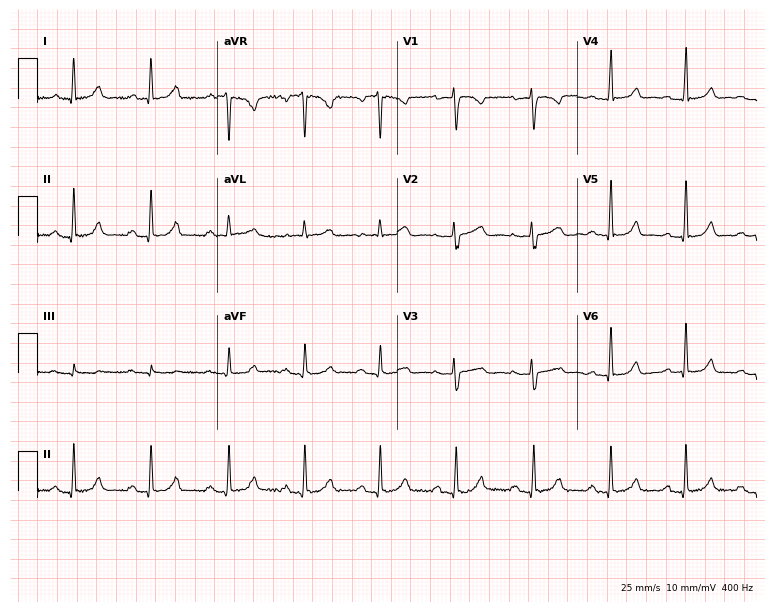
Standard 12-lead ECG recorded from a female patient, 37 years old (7.3-second recording at 400 Hz). Read as a normal ECG.